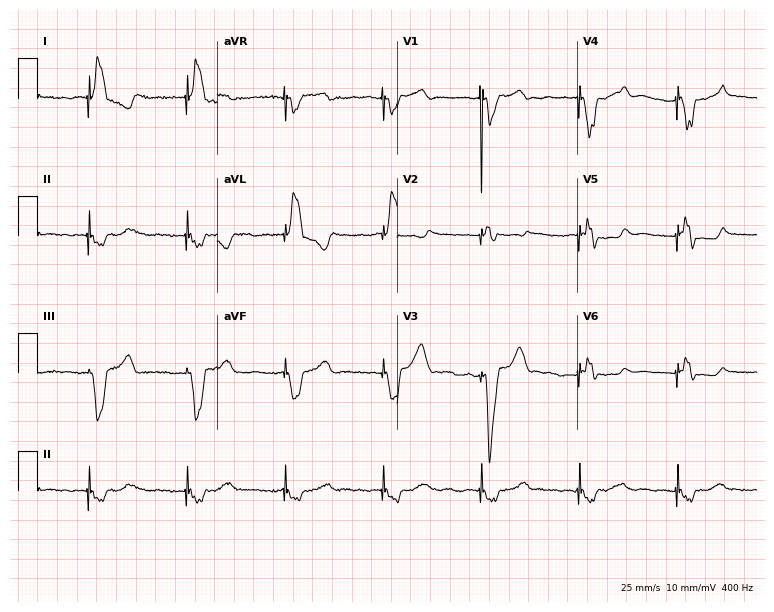
Resting 12-lead electrocardiogram (7.3-second recording at 400 Hz). Patient: a 73-year-old female. None of these six findings is recorded: first-degree AV block, right bundle branch block, left bundle branch block, sinus bradycardia, atrial fibrillation, sinus tachycardia.